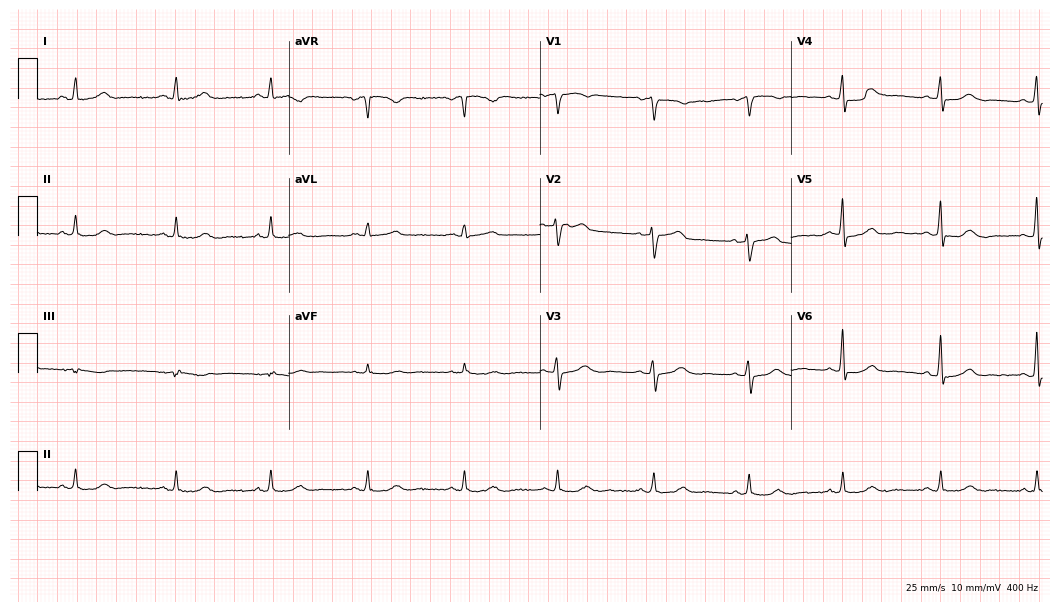
Resting 12-lead electrocardiogram (10.2-second recording at 400 Hz). Patient: a woman, 50 years old. Read as a normal ECG.